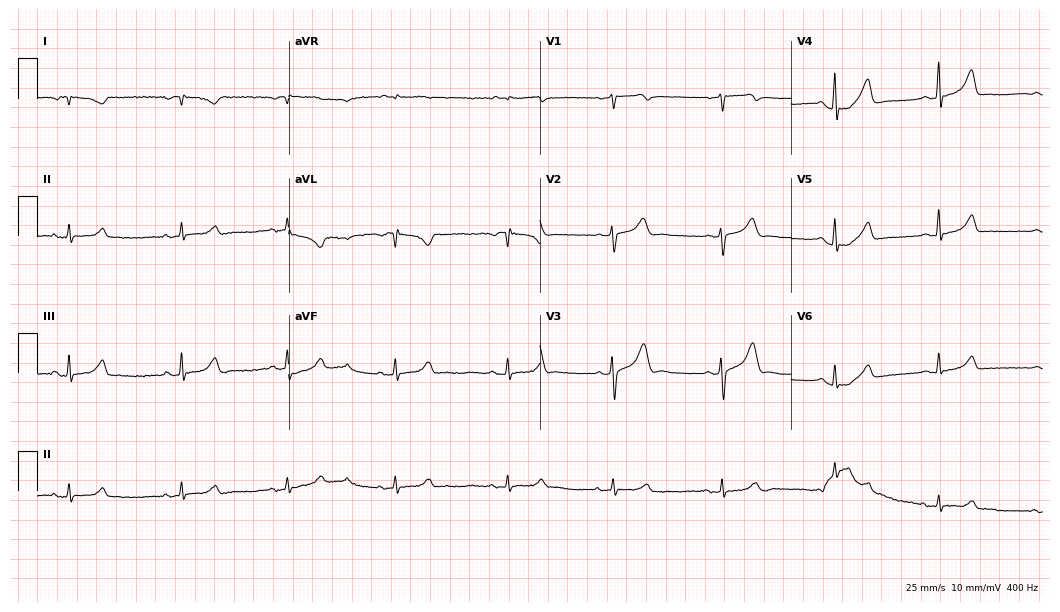
ECG (10.2-second recording at 400 Hz) — a female patient, 48 years old. Screened for six findings — first-degree AV block, right bundle branch block (RBBB), left bundle branch block (LBBB), sinus bradycardia, atrial fibrillation (AF), sinus tachycardia — none is recorded. Findings outside these six are not listed.